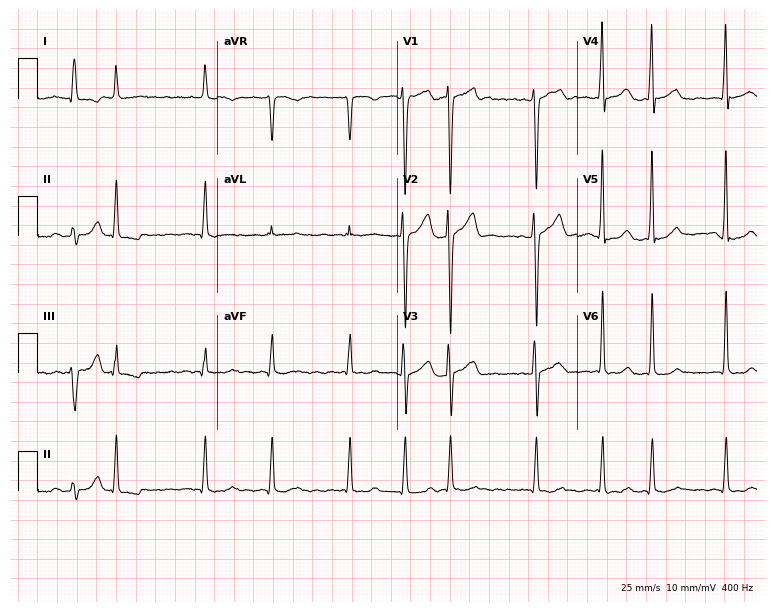
12-lead ECG (7.3-second recording at 400 Hz) from a male patient, 66 years old. Findings include atrial fibrillation.